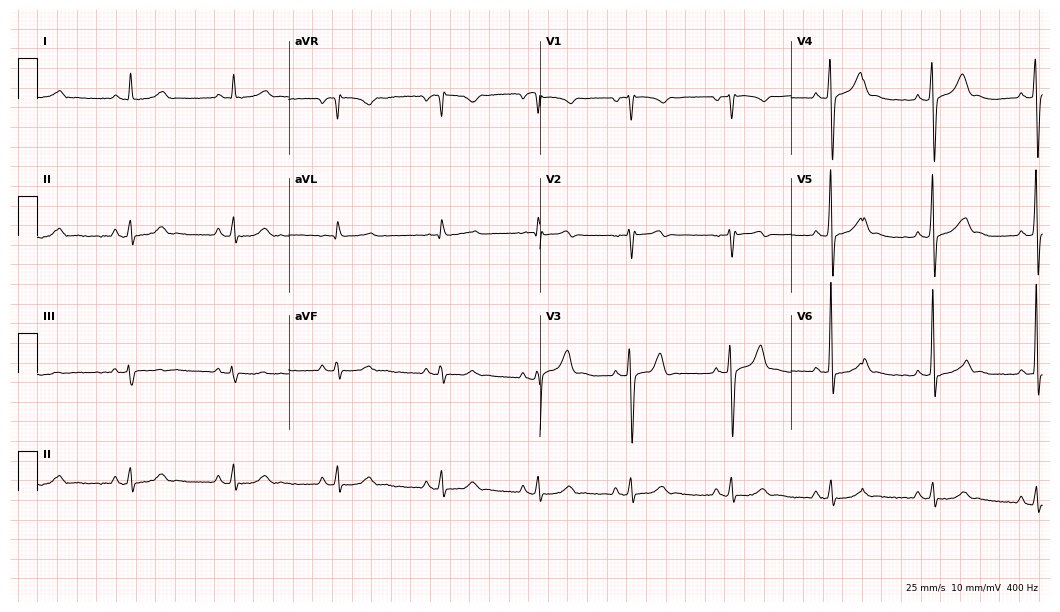
12-lead ECG from a male, 57 years old. Labelled as a normal ECG.